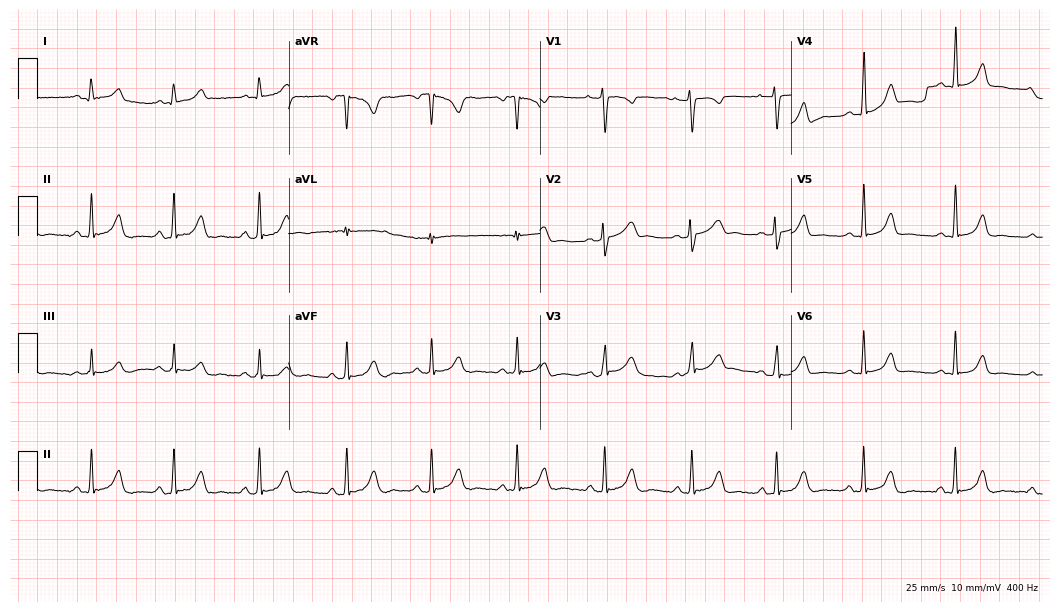
12-lead ECG from a 24-year-old female patient. Recorded interpretation: within normal limits.